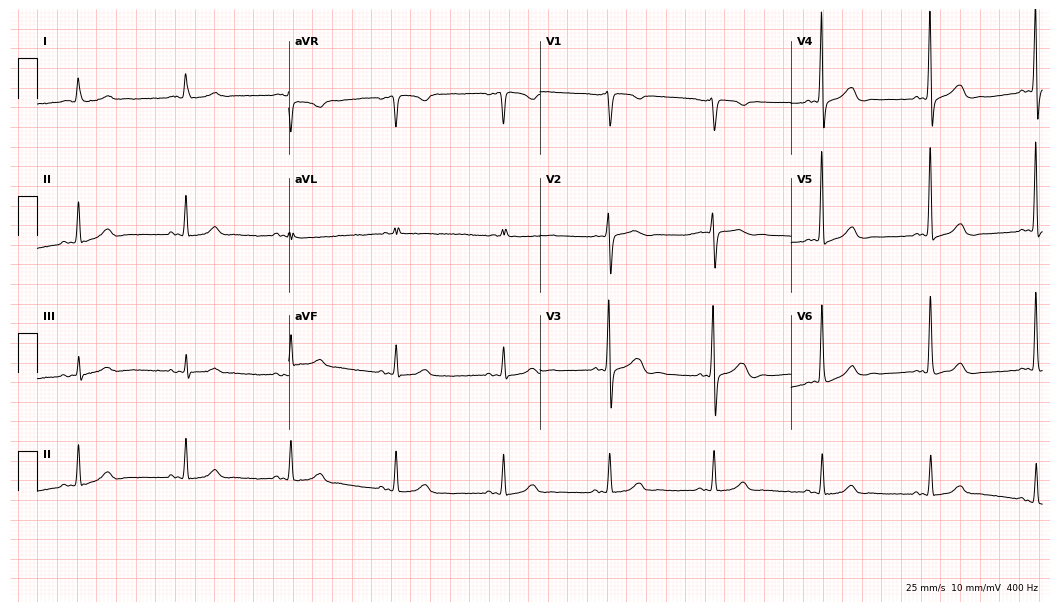
ECG (10.2-second recording at 400 Hz) — a 73-year-old man. Labelled as a normal ECG.